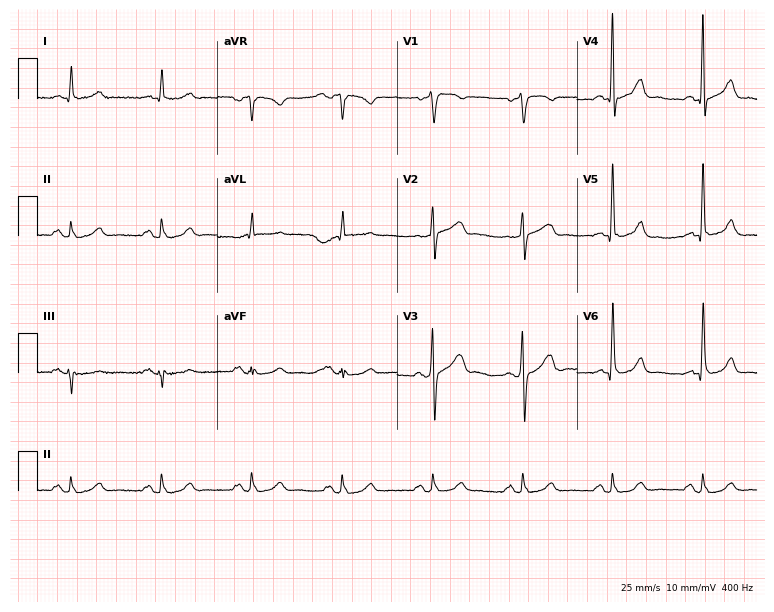
Electrocardiogram (7.3-second recording at 400 Hz), a 75-year-old man. Overall reading on record: normal ECG.